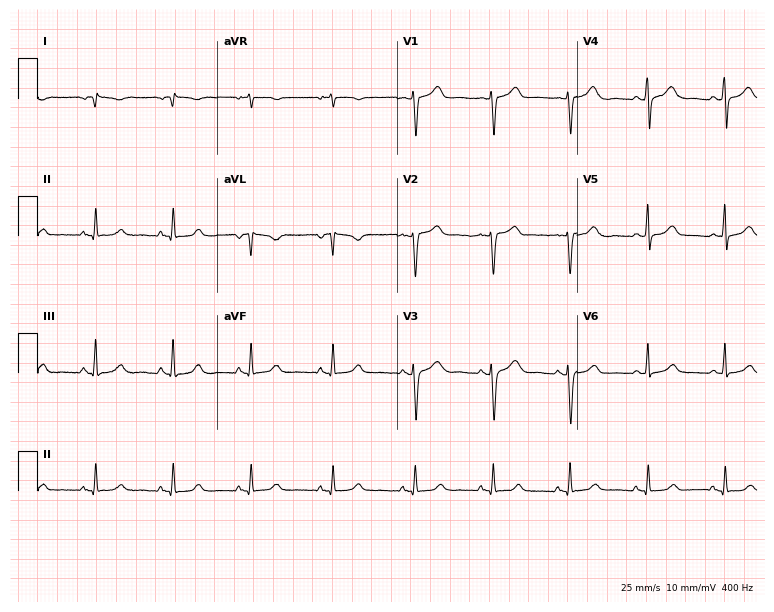
12-lead ECG from a 50-year-old woman (7.3-second recording at 400 Hz). No first-degree AV block, right bundle branch block (RBBB), left bundle branch block (LBBB), sinus bradycardia, atrial fibrillation (AF) or sinus tachycardia recorded for this tracing. Only these six findings were labelled.